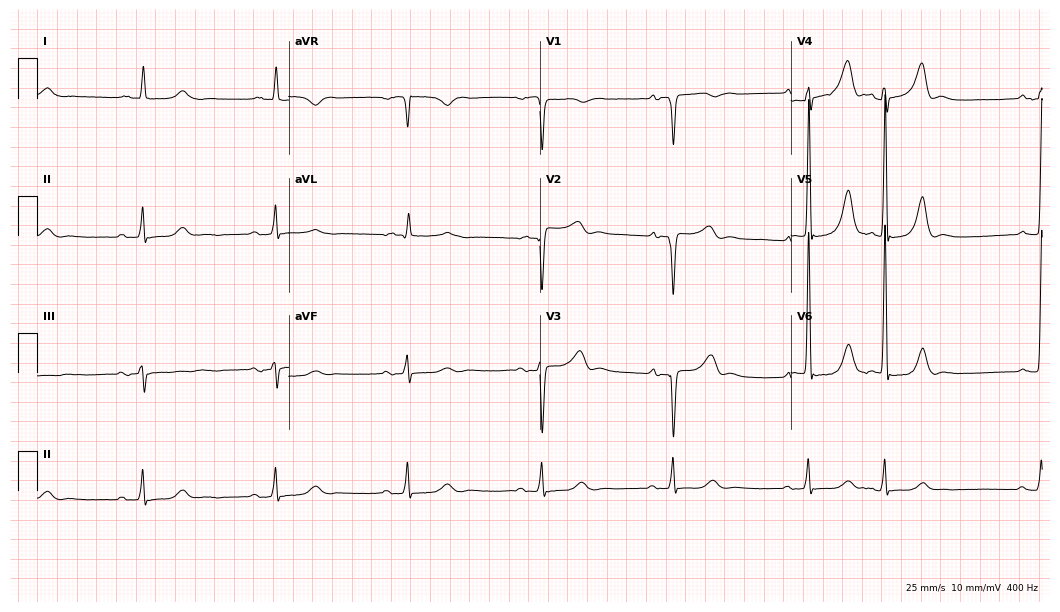
Resting 12-lead electrocardiogram. Patient: a 71-year-old man. The tracing shows sinus bradycardia (a sinus rate of 50 beats per minute or less).